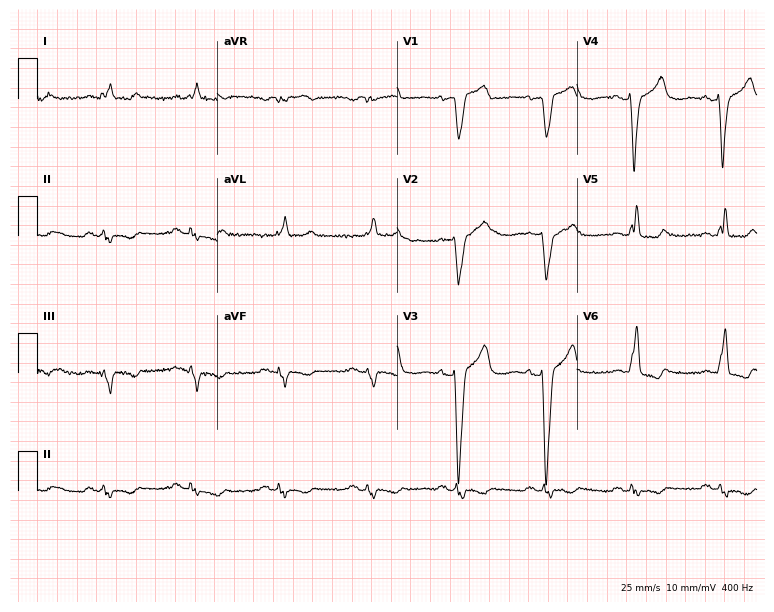
12-lead ECG from a woman, 78 years old. Findings include left bundle branch block.